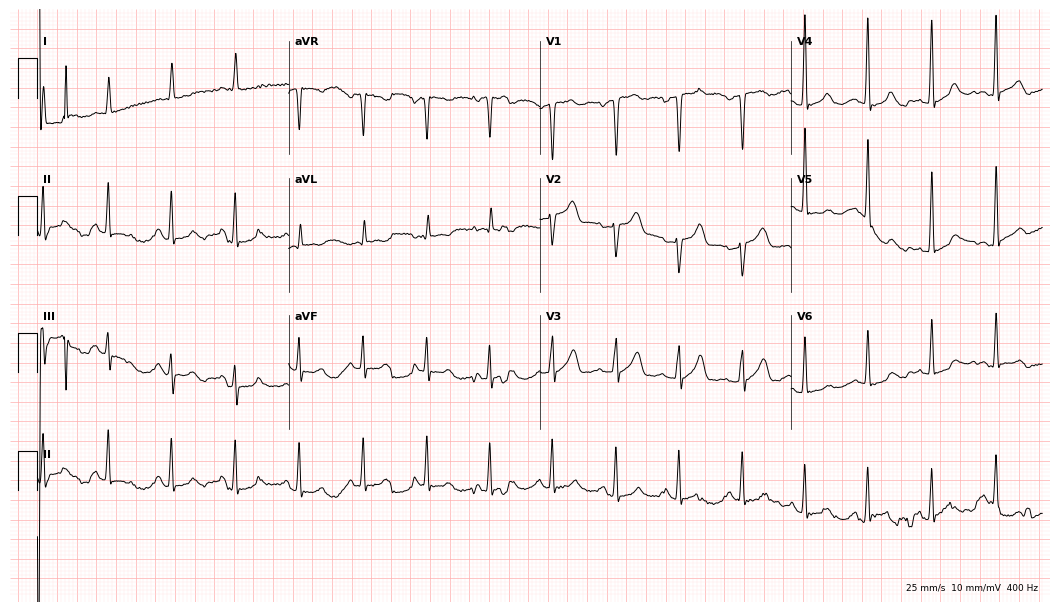
12-lead ECG from an 85-year-old female patient. Screened for six findings — first-degree AV block, right bundle branch block (RBBB), left bundle branch block (LBBB), sinus bradycardia, atrial fibrillation (AF), sinus tachycardia — none is recorded. Other findings, if any, are not listed.